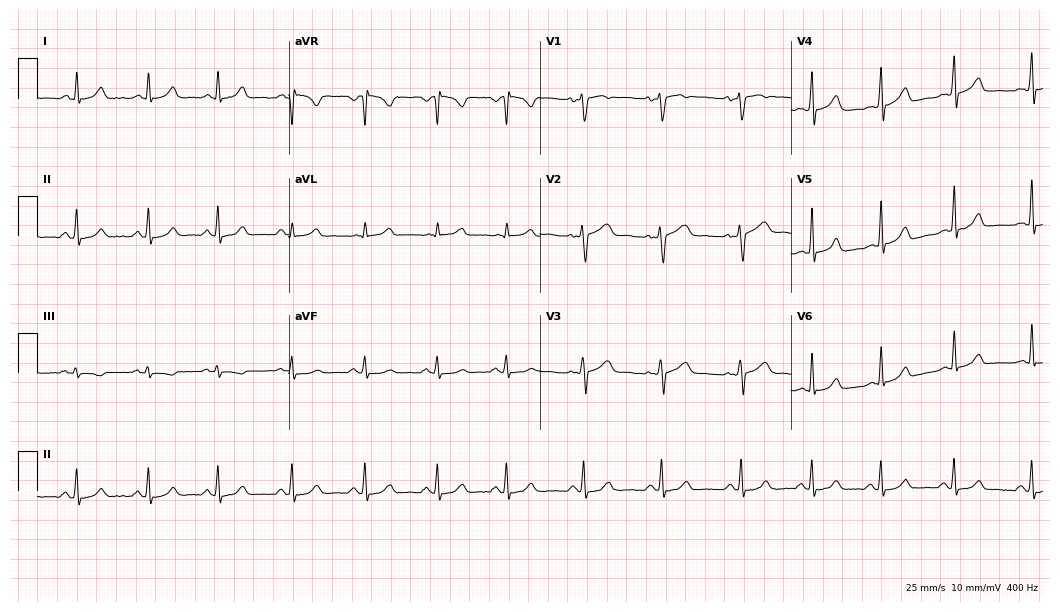
ECG (10.2-second recording at 400 Hz) — a female, 24 years old. Labelled as a normal ECG.